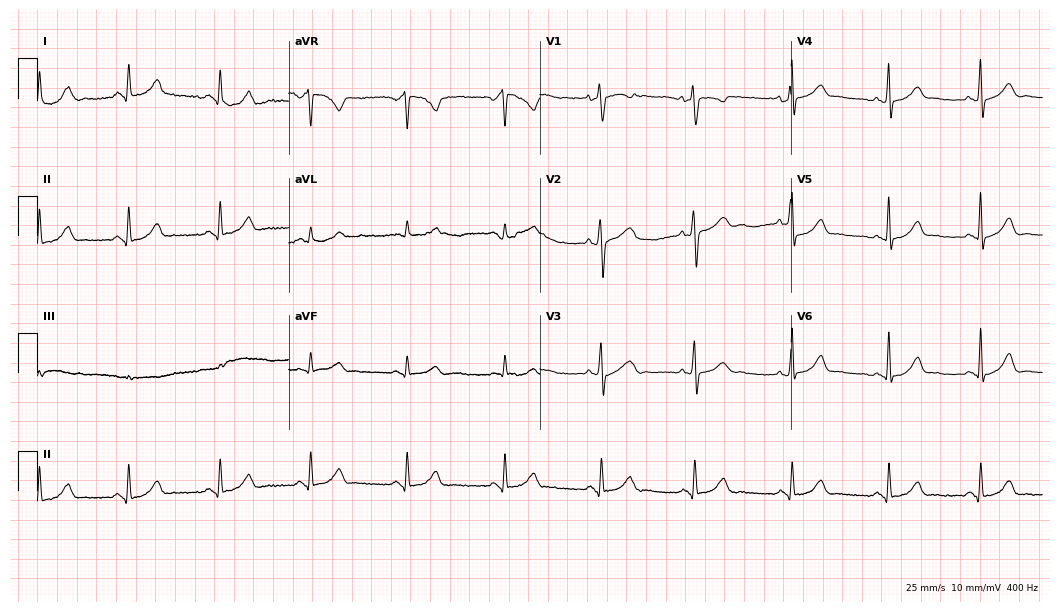
Resting 12-lead electrocardiogram (10.2-second recording at 400 Hz). Patient: a woman, 30 years old. Read as a normal ECG.